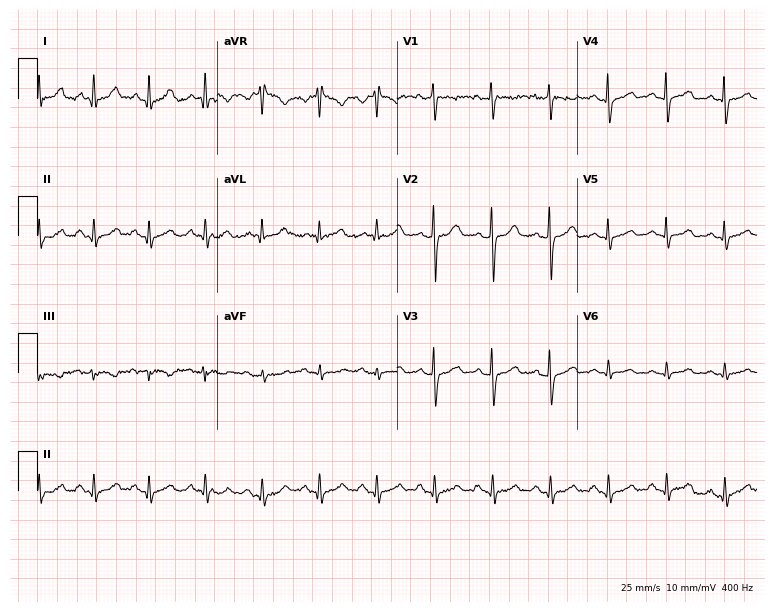
Electrocardiogram, a 65-year-old male. Interpretation includes sinus tachycardia (a sinus rate of 100 beats per minute or more).